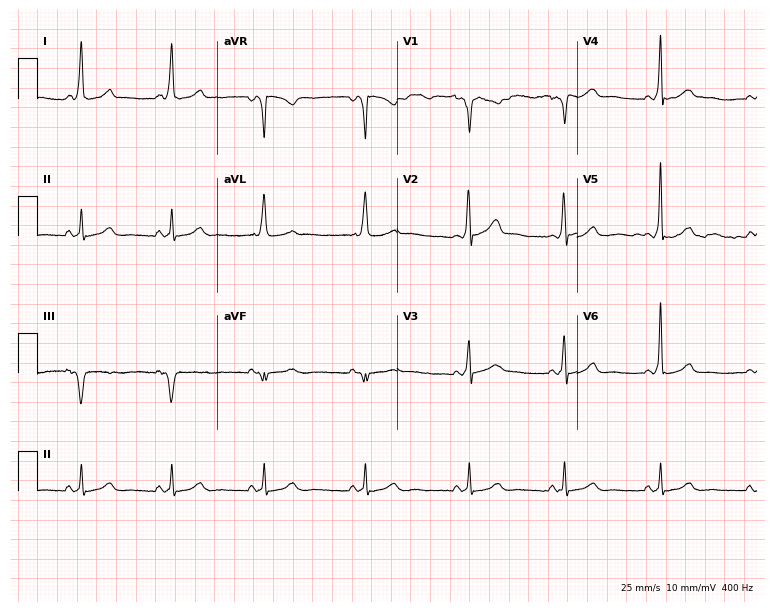
Electrocardiogram (7.3-second recording at 400 Hz), a woman, 42 years old. Of the six screened findings (first-degree AV block, right bundle branch block (RBBB), left bundle branch block (LBBB), sinus bradycardia, atrial fibrillation (AF), sinus tachycardia), none is recorded. Findings outside these six are not listed.